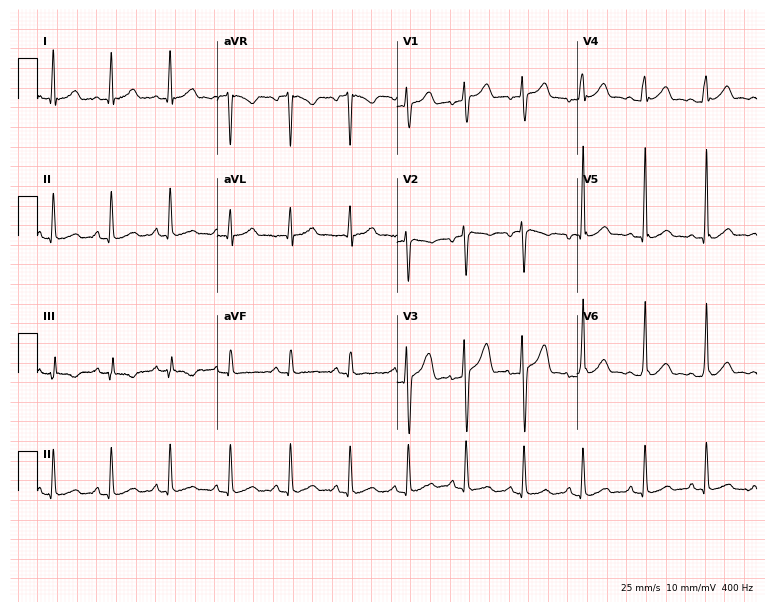
Standard 12-lead ECG recorded from a 24-year-old male patient (7.3-second recording at 400 Hz). Read as a normal ECG.